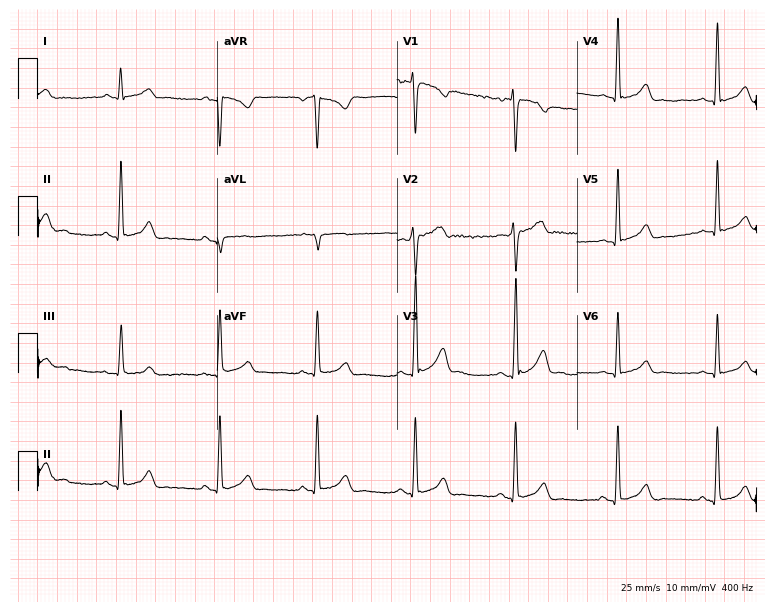
Resting 12-lead electrocardiogram. Patient: a man, 34 years old. None of these six findings is recorded: first-degree AV block, right bundle branch block, left bundle branch block, sinus bradycardia, atrial fibrillation, sinus tachycardia. Only these six findings were labelled.